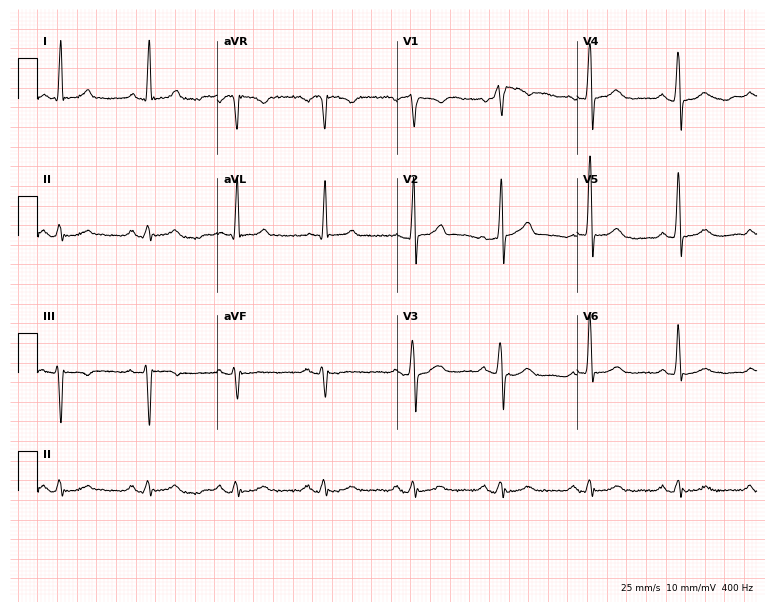
ECG (7.3-second recording at 400 Hz) — an 82-year-old male patient. Labelled as a normal ECG.